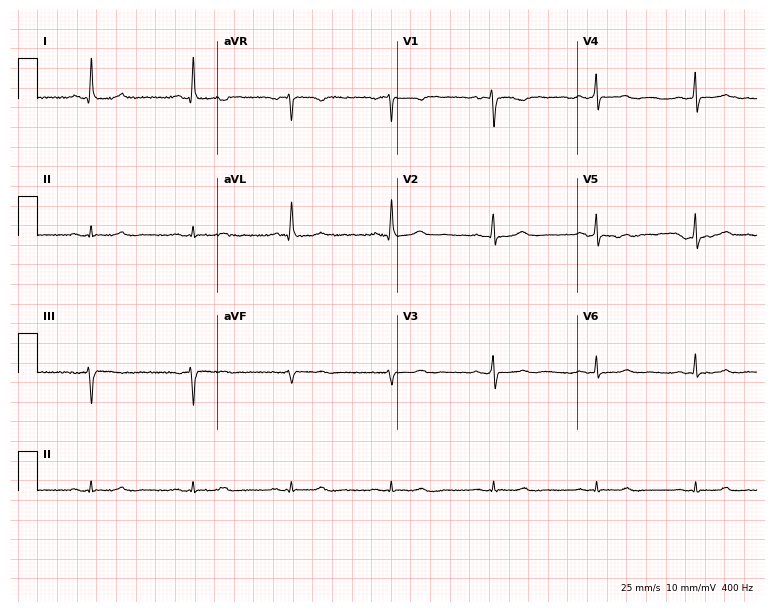
Electrocardiogram (7.3-second recording at 400 Hz), a 74-year-old female patient. Overall reading on record: normal ECG.